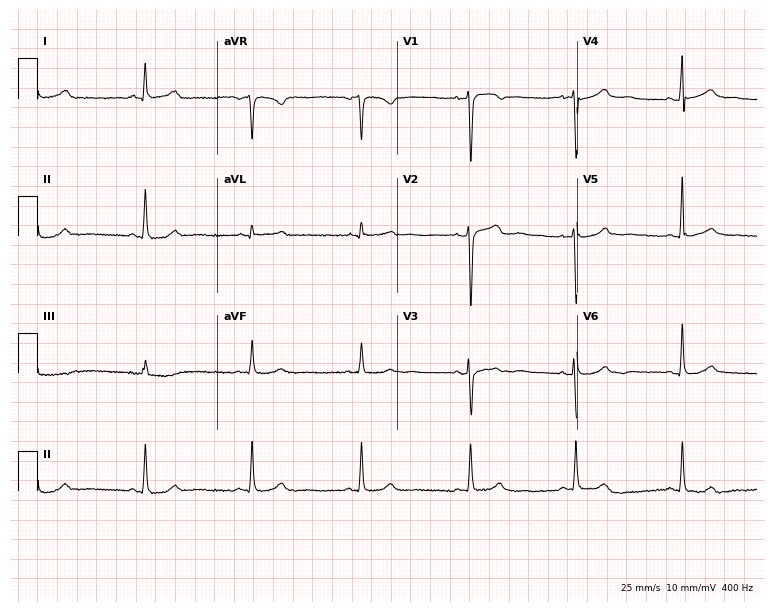
Resting 12-lead electrocardiogram (7.3-second recording at 400 Hz). Patient: a 53-year-old female. None of these six findings is recorded: first-degree AV block, right bundle branch block, left bundle branch block, sinus bradycardia, atrial fibrillation, sinus tachycardia. Other findings, if any, are not listed.